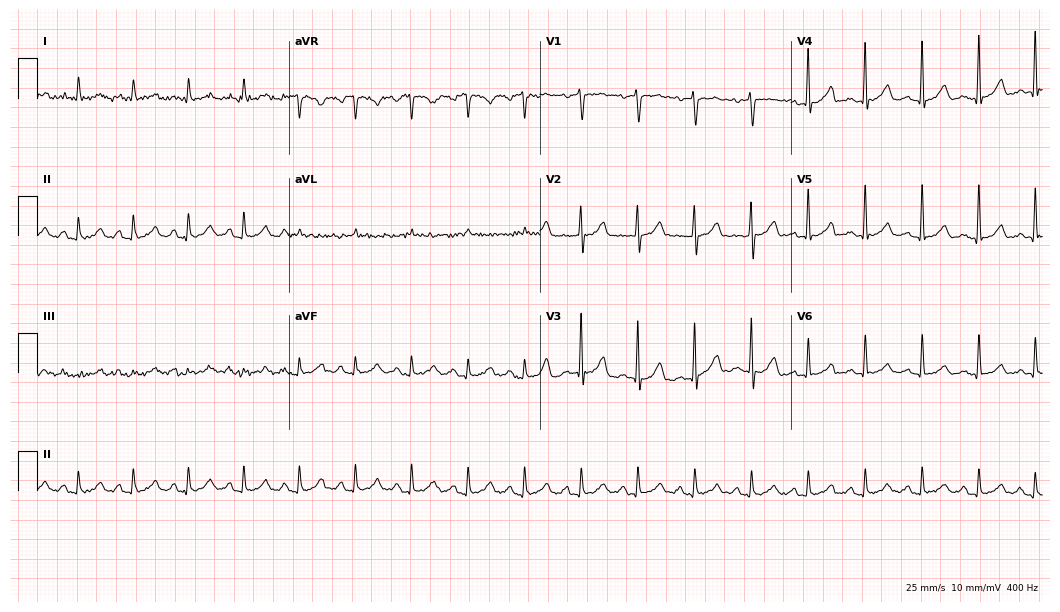
ECG (10.2-second recording at 400 Hz) — a 74-year-old male patient. Findings include sinus tachycardia (a sinus rate of 100 beats per minute or more).